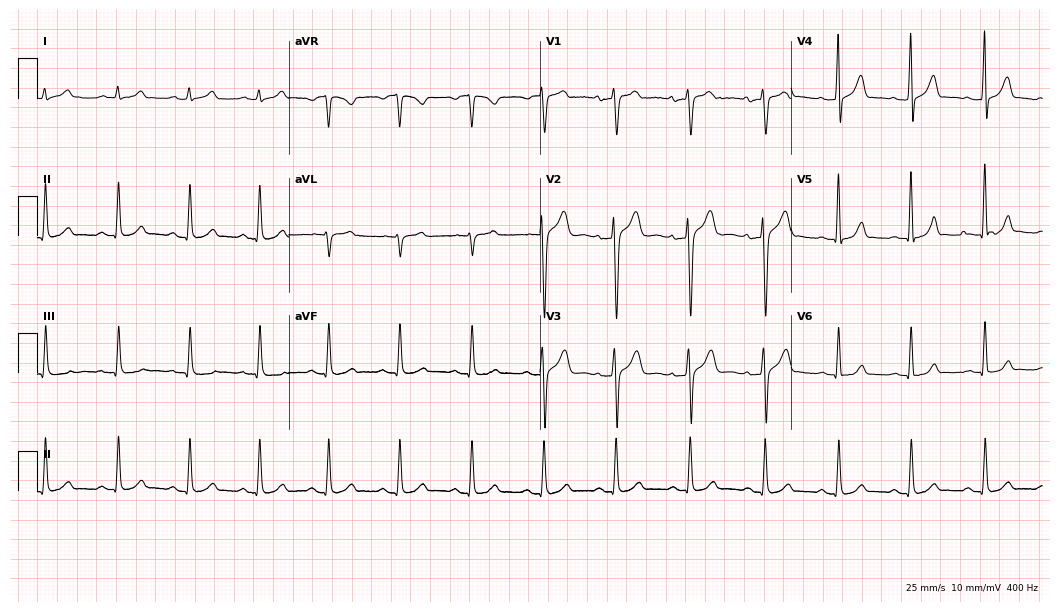
12-lead ECG from a 37-year-old male. Labelled as a normal ECG.